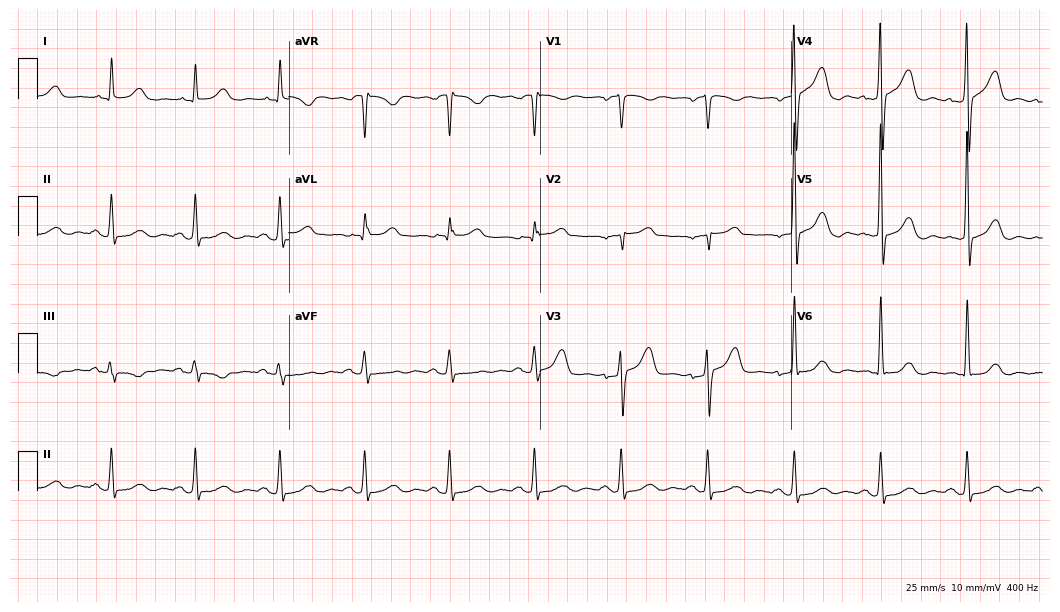
ECG — a 68-year-old male patient. Screened for six findings — first-degree AV block, right bundle branch block (RBBB), left bundle branch block (LBBB), sinus bradycardia, atrial fibrillation (AF), sinus tachycardia — none is recorded. Other findings, if any, are not listed.